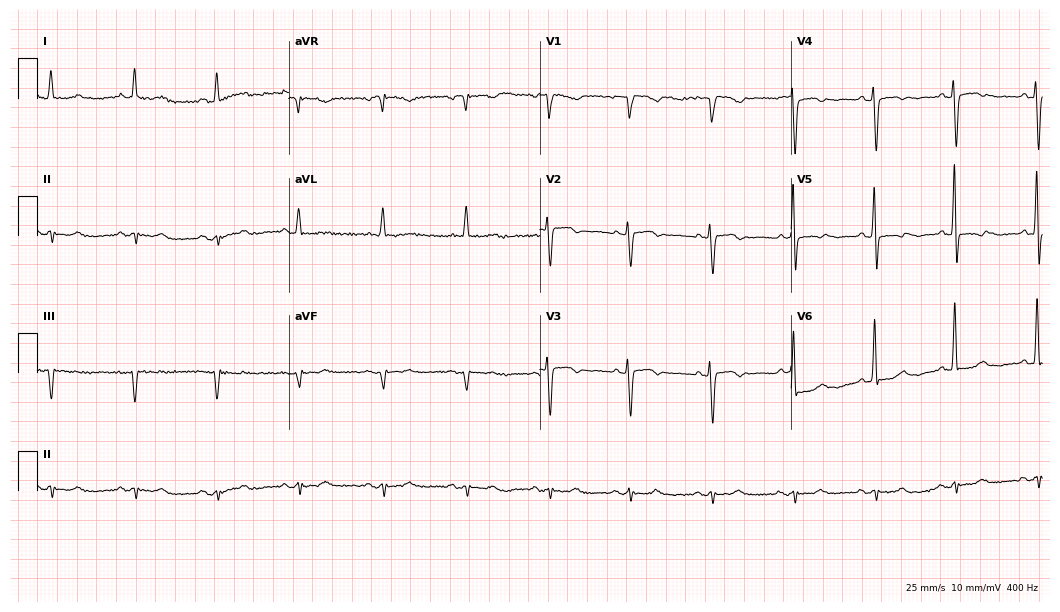
12-lead ECG from a woman, 84 years old (10.2-second recording at 400 Hz). No first-degree AV block, right bundle branch block, left bundle branch block, sinus bradycardia, atrial fibrillation or sinus tachycardia recorded for this tracing. Findings outside these six are not listed.